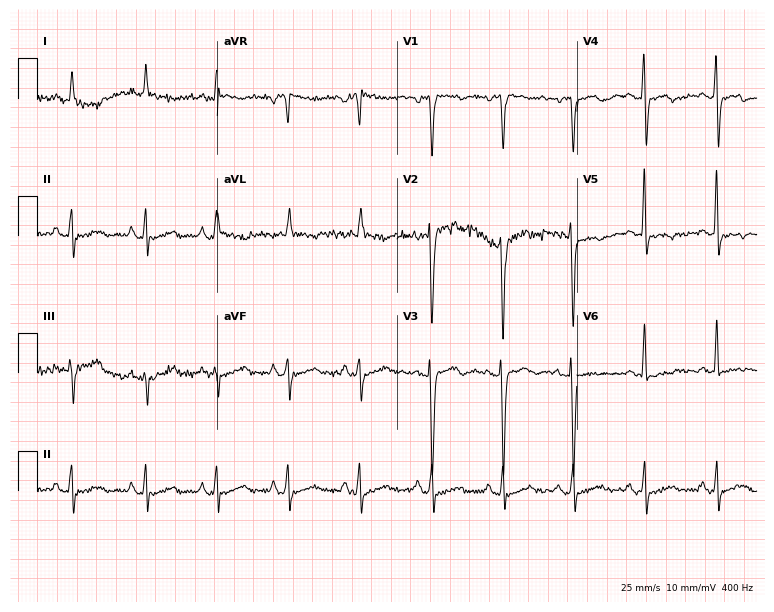
Electrocardiogram (7.3-second recording at 400 Hz), a female, 81 years old. Of the six screened findings (first-degree AV block, right bundle branch block, left bundle branch block, sinus bradycardia, atrial fibrillation, sinus tachycardia), none is recorded.